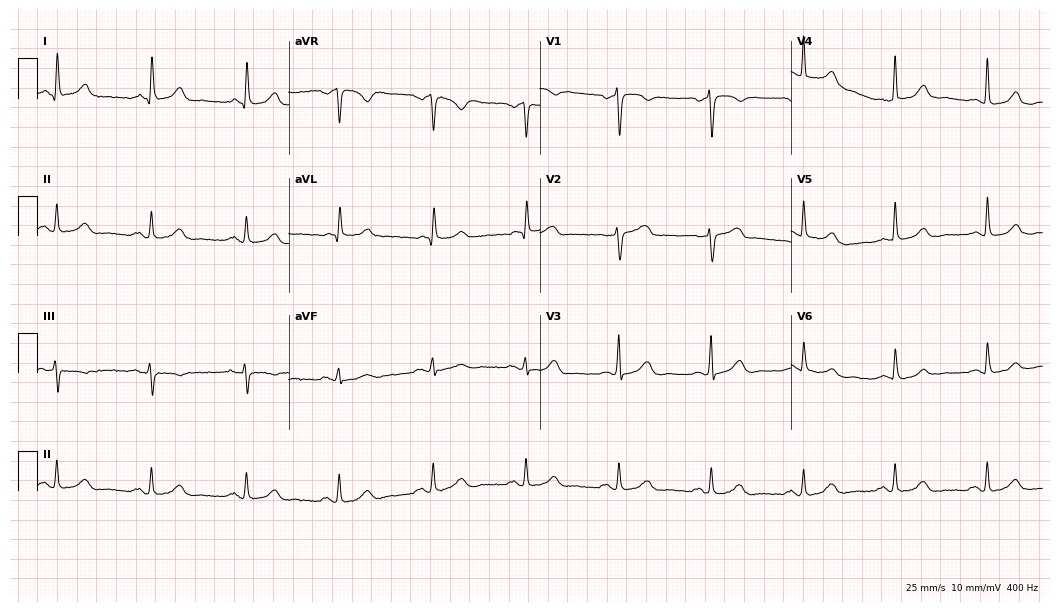
Standard 12-lead ECG recorded from a female patient, 69 years old. None of these six findings is recorded: first-degree AV block, right bundle branch block, left bundle branch block, sinus bradycardia, atrial fibrillation, sinus tachycardia. Findings outside these six are not listed.